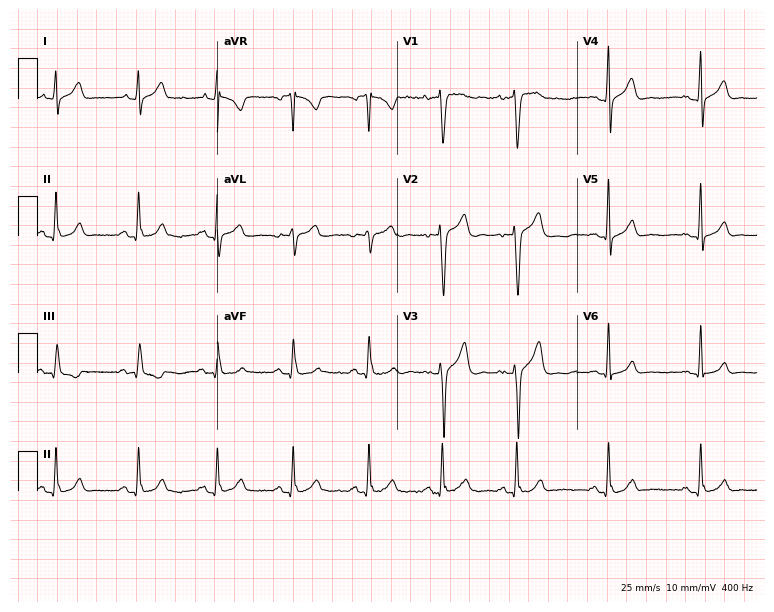
ECG — a male patient, 33 years old. Labelled as a normal ECG.